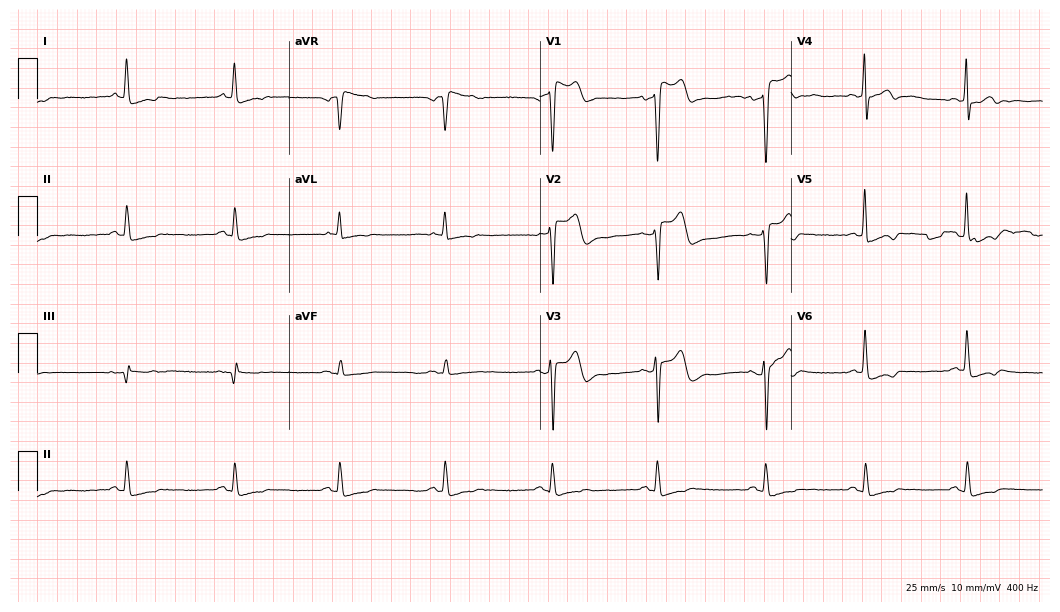
Electrocardiogram, a male, 76 years old. Of the six screened findings (first-degree AV block, right bundle branch block, left bundle branch block, sinus bradycardia, atrial fibrillation, sinus tachycardia), none is recorded. Other findings, if any, are not listed.